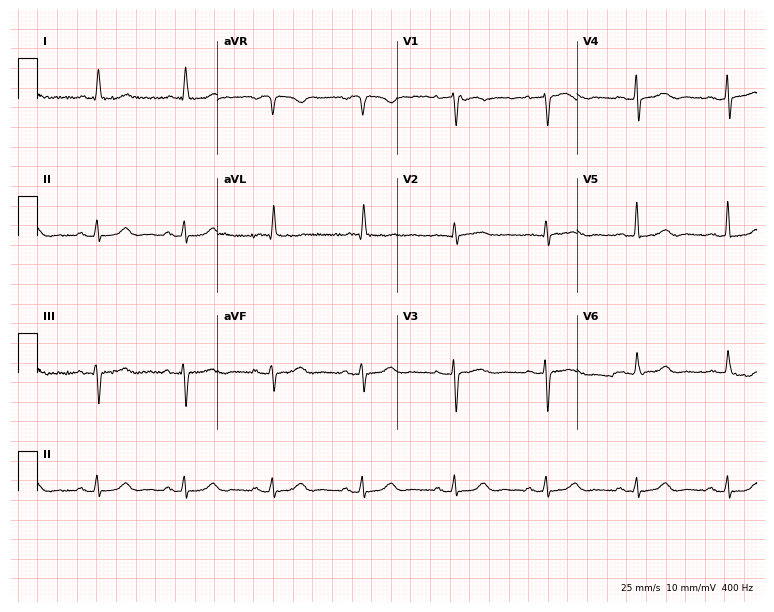
ECG — a female, 74 years old. Labelled as a normal ECG.